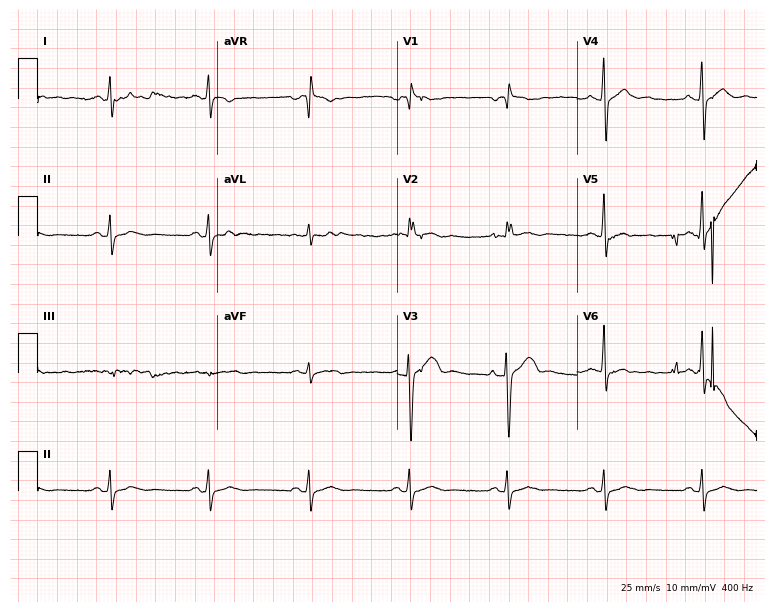
Resting 12-lead electrocardiogram. Patient: a male, 56 years old. None of these six findings is recorded: first-degree AV block, right bundle branch block, left bundle branch block, sinus bradycardia, atrial fibrillation, sinus tachycardia. Findings outside these six are not listed.